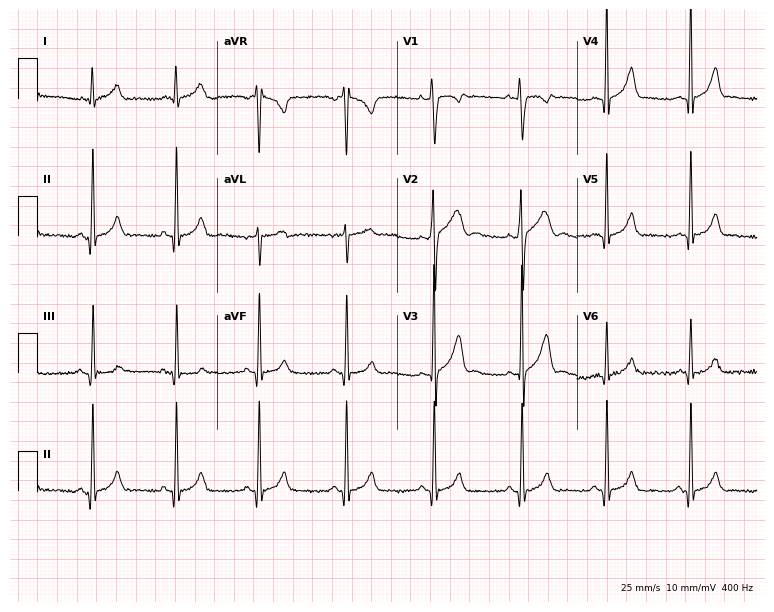
12-lead ECG from a male patient, 27 years old. No first-degree AV block, right bundle branch block, left bundle branch block, sinus bradycardia, atrial fibrillation or sinus tachycardia recorded for this tracing.